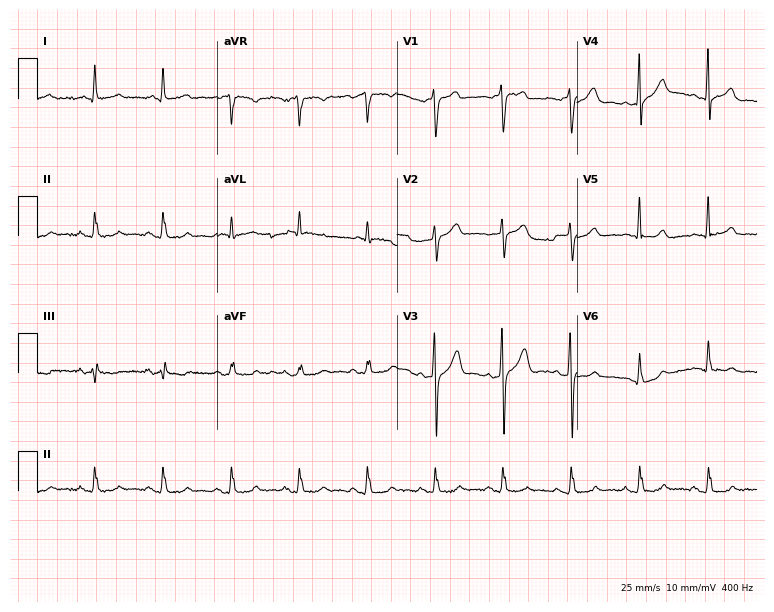
Electrocardiogram (7.3-second recording at 400 Hz), an 81-year-old male patient. Overall reading on record: normal ECG.